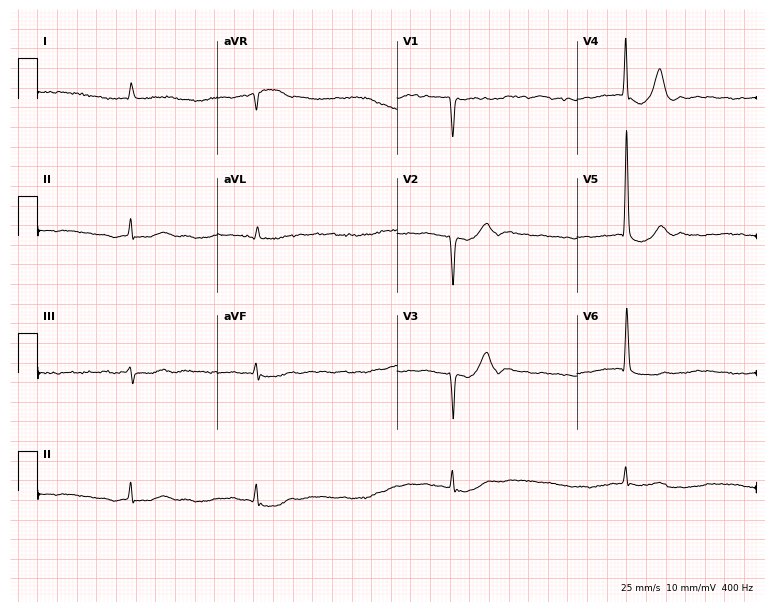
12-lead ECG from a 72-year-old female patient. Shows atrial fibrillation.